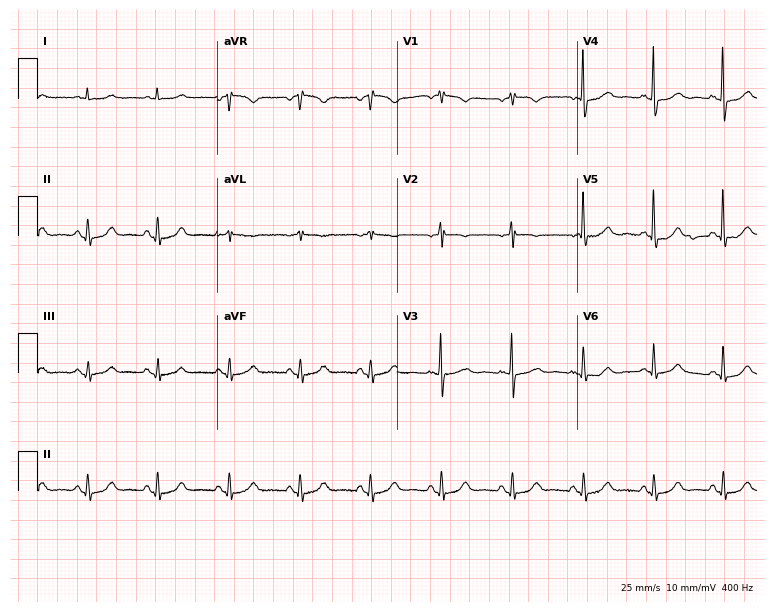
Resting 12-lead electrocardiogram (7.3-second recording at 400 Hz). Patient: an 81-year-old woman. None of these six findings is recorded: first-degree AV block, right bundle branch block, left bundle branch block, sinus bradycardia, atrial fibrillation, sinus tachycardia. Other findings, if any, are not listed.